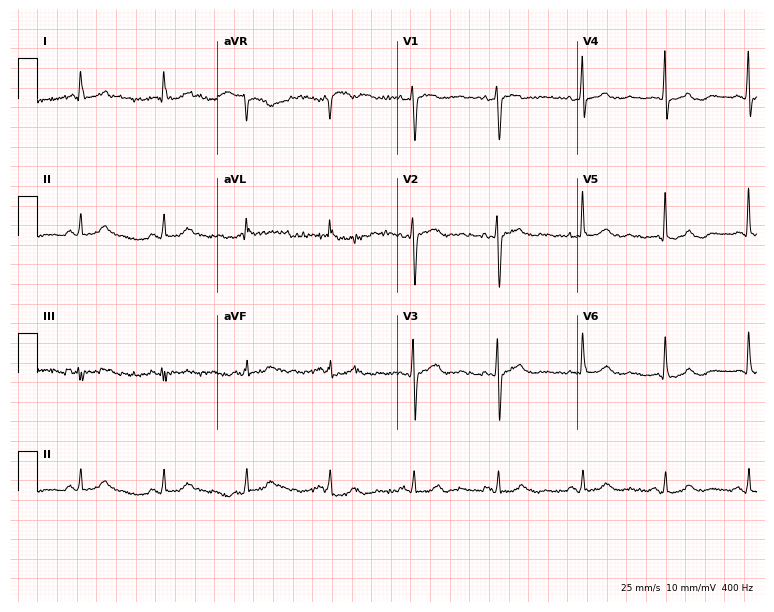
ECG — an 80-year-old female. Screened for six findings — first-degree AV block, right bundle branch block, left bundle branch block, sinus bradycardia, atrial fibrillation, sinus tachycardia — none is recorded. Findings outside these six are not listed.